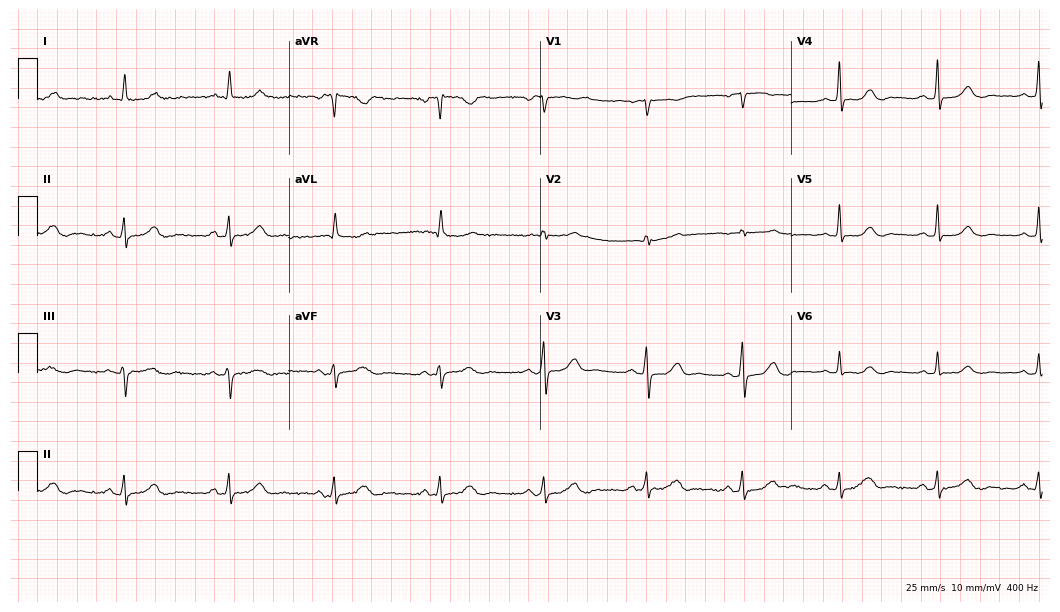
Resting 12-lead electrocardiogram. Patient: a 63-year-old woman. Read as a normal ECG.